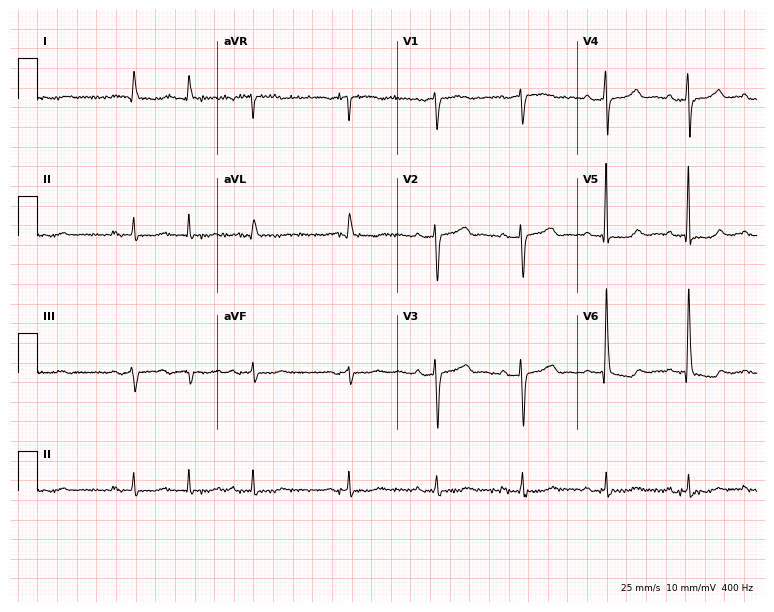
12-lead ECG from a 78-year-old man. Screened for six findings — first-degree AV block, right bundle branch block (RBBB), left bundle branch block (LBBB), sinus bradycardia, atrial fibrillation (AF), sinus tachycardia — none is recorded.